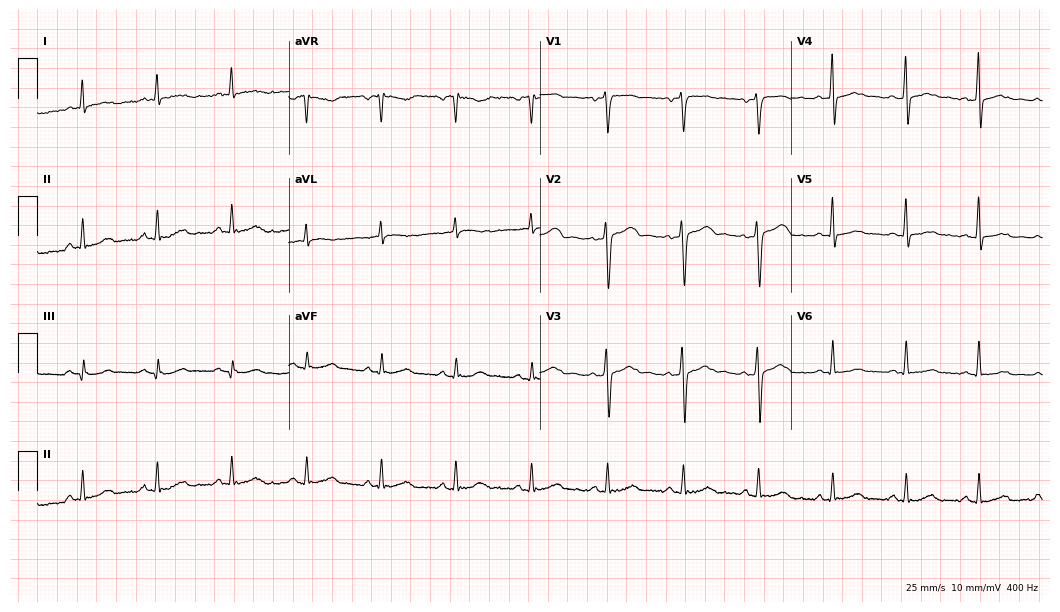
Standard 12-lead ECG recorded from a 46-year-old woman (10.2-second recording at 400 Hz). None of these six findings is recorded: first-degree AV block, right bundle branch block, left bundle branch block, sinus bradycardia, atrial fibrillation, sinus tachycardia. Other findings, if any, are not listed.